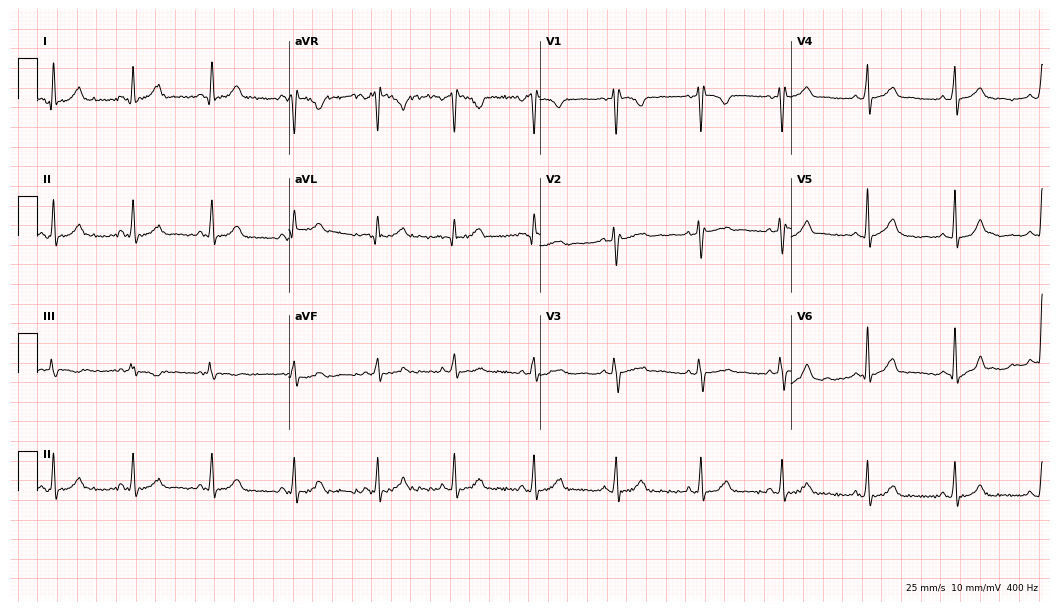
12-lead ECG from a female patient, 23 years old (10.2-second recording at 400 Hz). No first-degree AV block, right bundle branch block (RBBB), left bundle branch block (LBBB), sinus bradycardia, atrial fibrillation (AF) or sinus tachycardia recorded for this tracing.